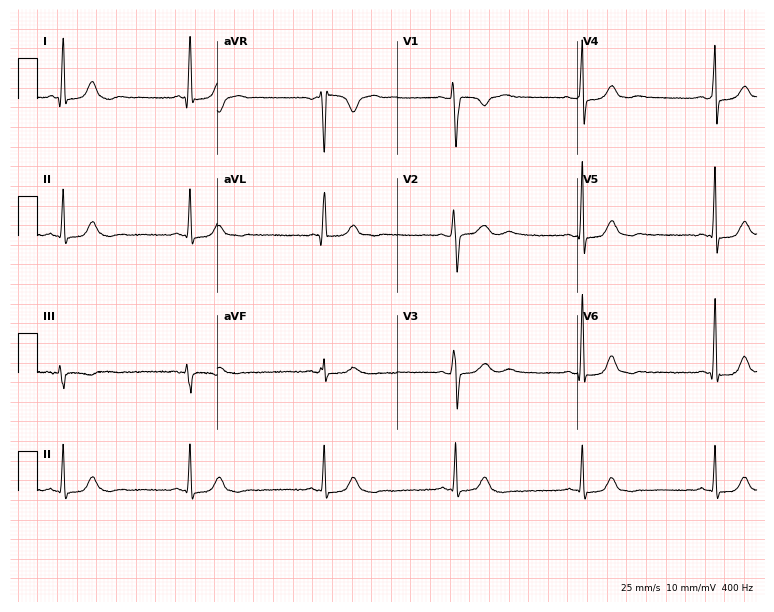
Electrocardiogram, a 33-year-old female patient. Interpretation includes sinus bradycardia (a sinus rate of 50 beats per minute or less).